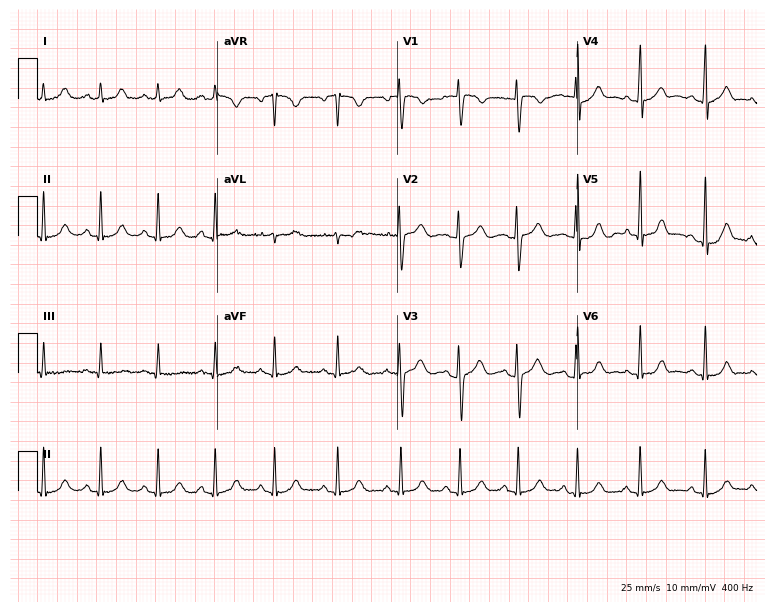
Electrocardiogram (7.3-second recording at 400 Hz), a woman, 25 years old. Of the six screened findings (first-degree AV block, right bundle branch block, left bundle branch block, sinus bradycardia, atrial fibrillation, sinus tachycardia), none is recorded. Only these six findings were labelled.